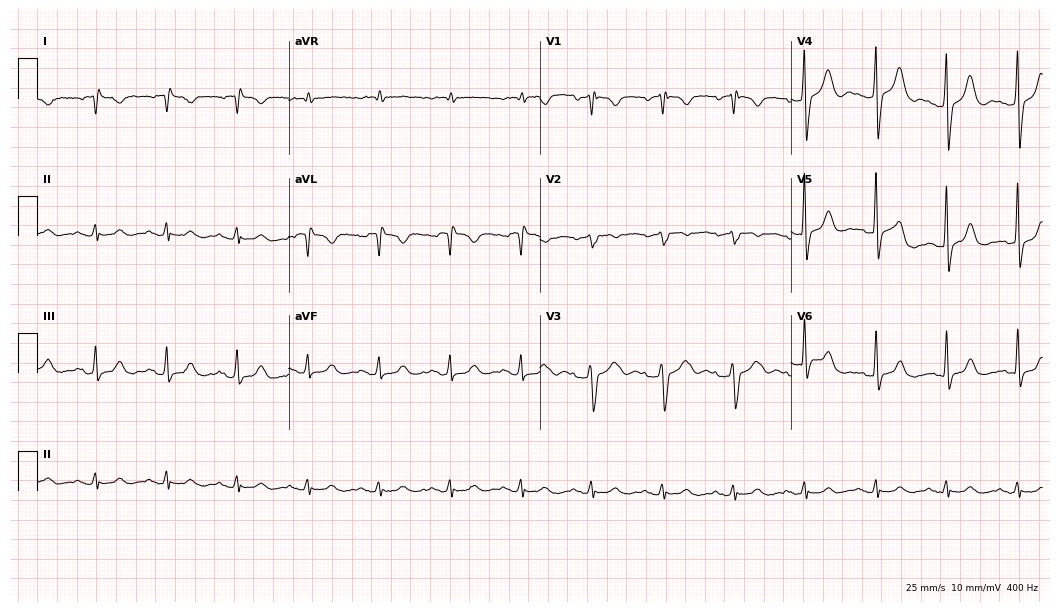
Standard 12-lead ECG recorded from an 83-year-old man (10.2-second recording at 400 Hz). None of these six findings is recorded: first-degree AV block, right bundle branch block (RBBB), left bundle branch block (LBBB), sinus bradycardia, atrial fibrillation (AF), sinus tachycardia. Other findings, if any, are not listed.